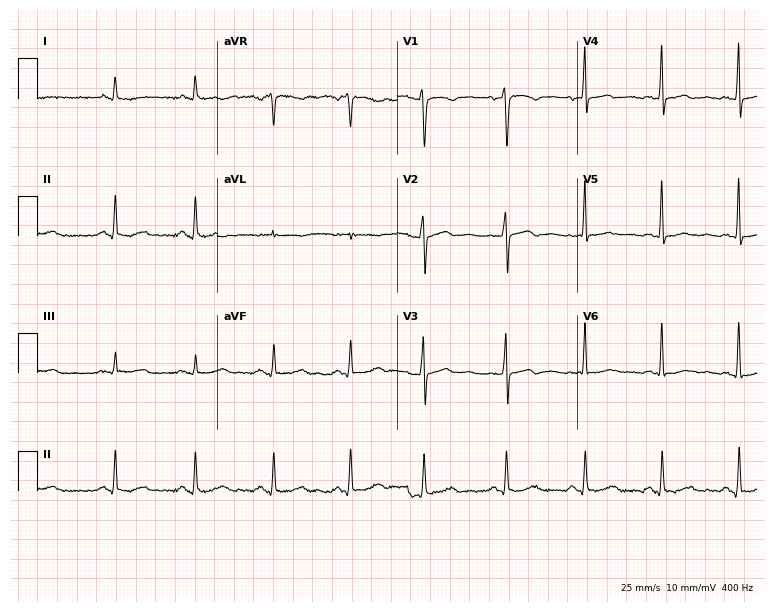
12-lead ECG from a 59-year-old female patient. Screened for six findings — first-degree AV block, right bundle branch block (RBBB), left bundle branch block (LBBB), sinus bradycardia, atrial fibrillation (AF), sinus tachycardia — none is recorded. Findings outside these six are not listed.